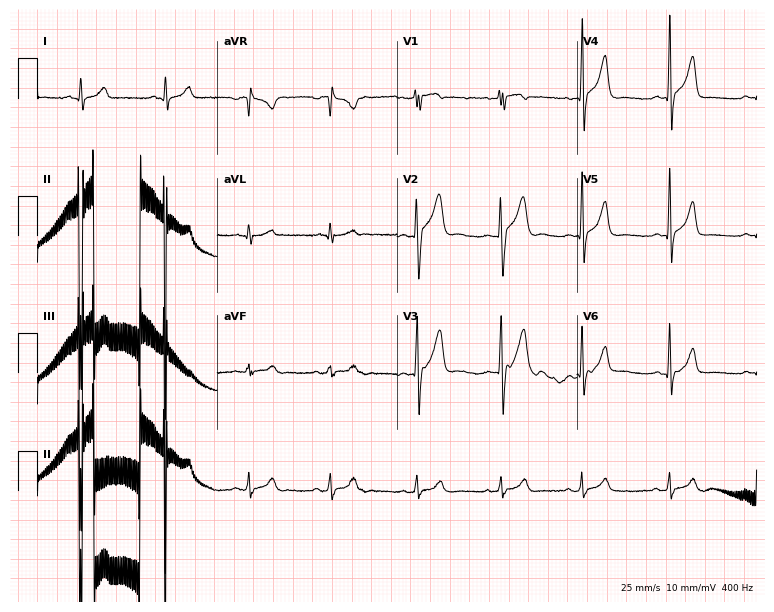
ECG — a 21-year-old male. Screened for six findings — first-degree AV block, right bundle branch block (RBBB), left bundle branch block (LBBB), sinus bradycardia, atrial fibrillation (AF), sinus tachycardia — none is recorded. Findings outside these six are not listed.